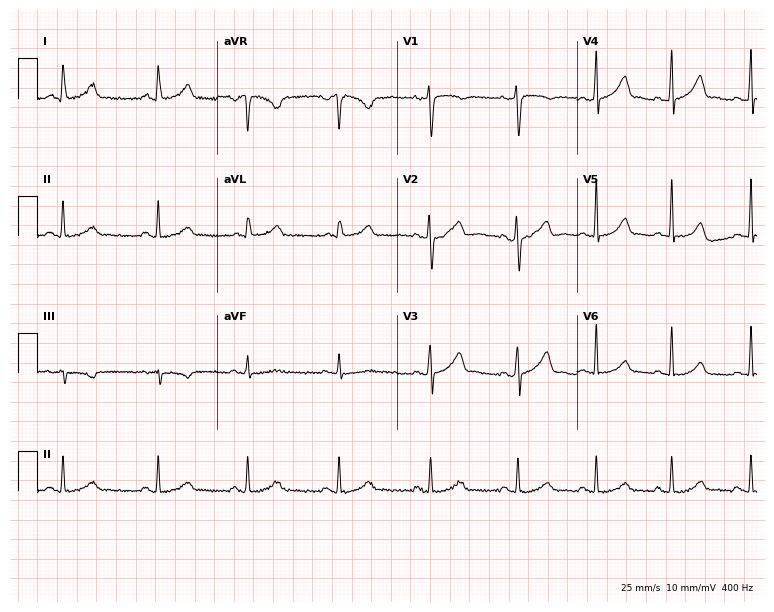
ECG (7.3-second recording at 400 Hz) — a 32-year-old female. Screened for six findings — first-degree AV block, right bundle branch block, left bundle branch block, sinus bradycardia, atrial fibrillation, sinus tachycardia — none is recorded. Findings outside these six are not listed.